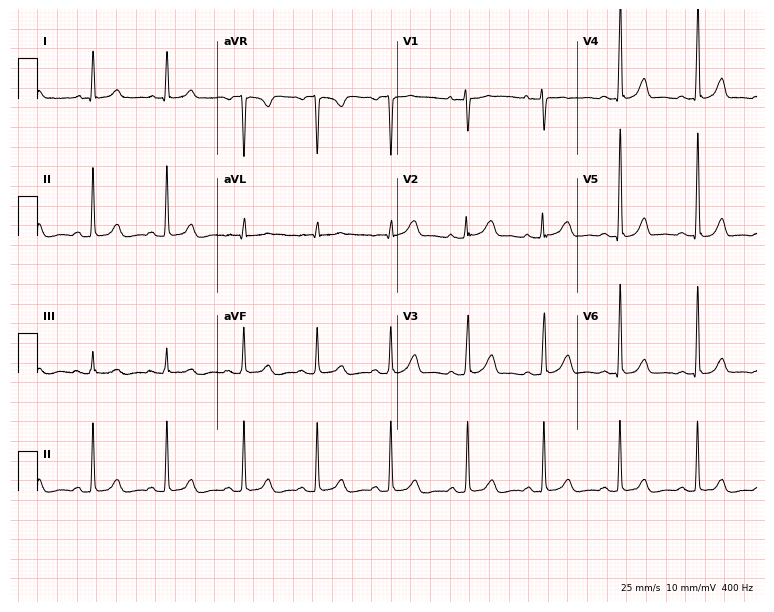
Standard 12-lead ECG recorded from a 33-year-old female patient (7.3-second recording at 400 Hz). None of these six findings is recorded: first-degree AV block, right bundle branch block, left bundle branch block, sinus bradycardia, atrial fibrillation, sinus tachycardia. Other findings, if any, are not listed.